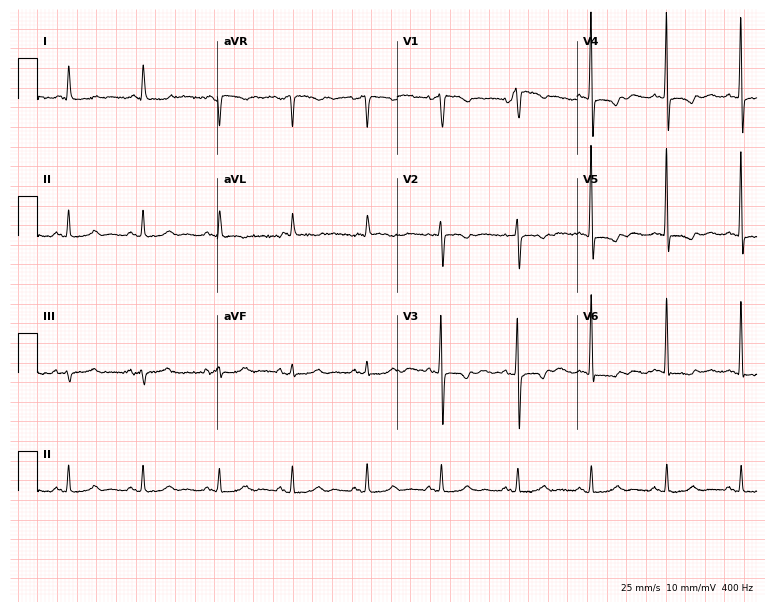
Resting 12-lead electrocardiogram. Patient: a female, 74 years old. None of these six findings is recorded: first-degree AV block, right bundle branch block, left bundle branch block, sinus bradycardia, atrial fibrillation, sinus tachycardia.